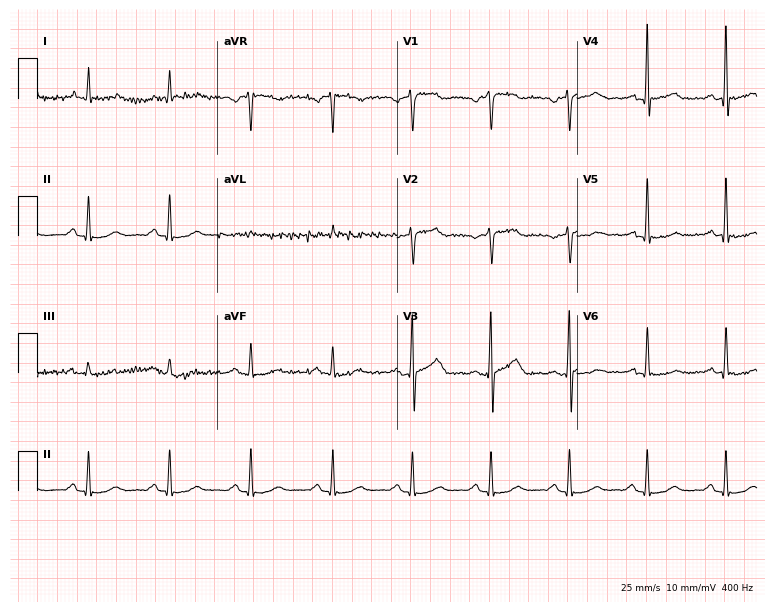
Standard 12-lead ECG recorded from a male, 65 years old. None of these six findings is recorded: first-degree AV block, right bundle branch block, left bundle branch block, sinus bradycardia, atrial fibrillation, sinus tachycardia. Only these six findings were labelled.